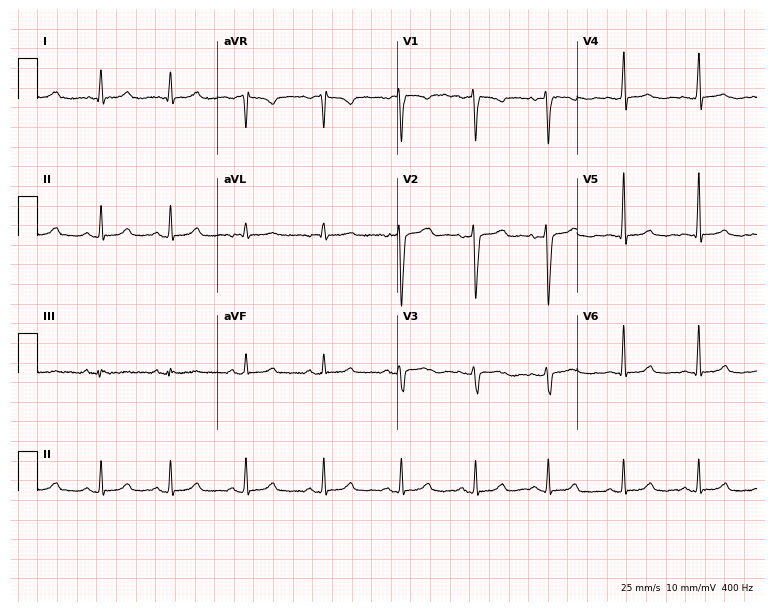
12-lead ECG from a female, 27 years old. Recorded interpretation: within normal limits.